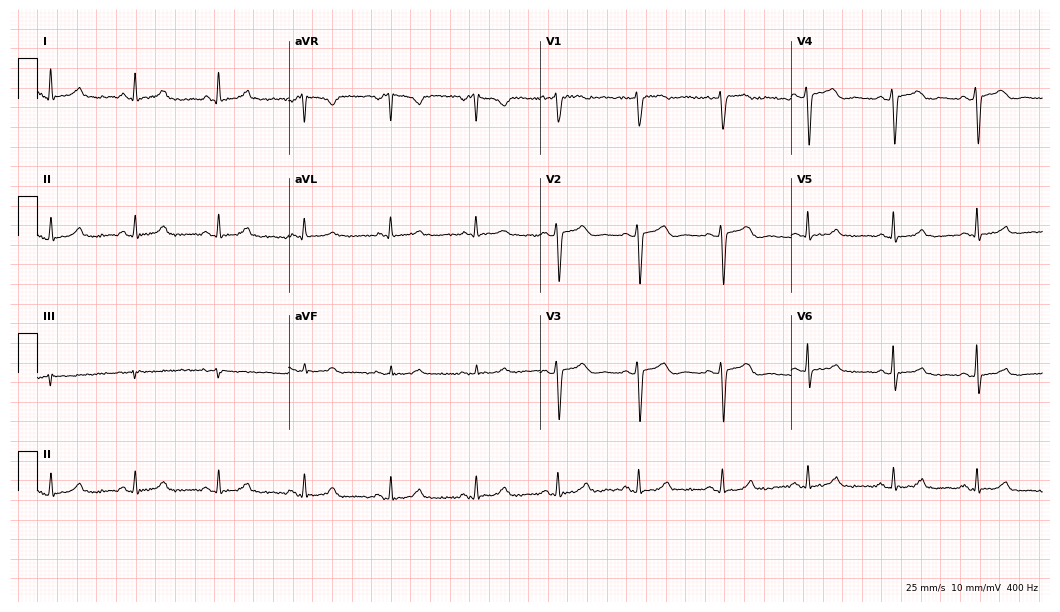
12-lead ECG (10.2-second recording at 400 Hz) from a 33-year-old female patient. Labelled as a normal ECG.